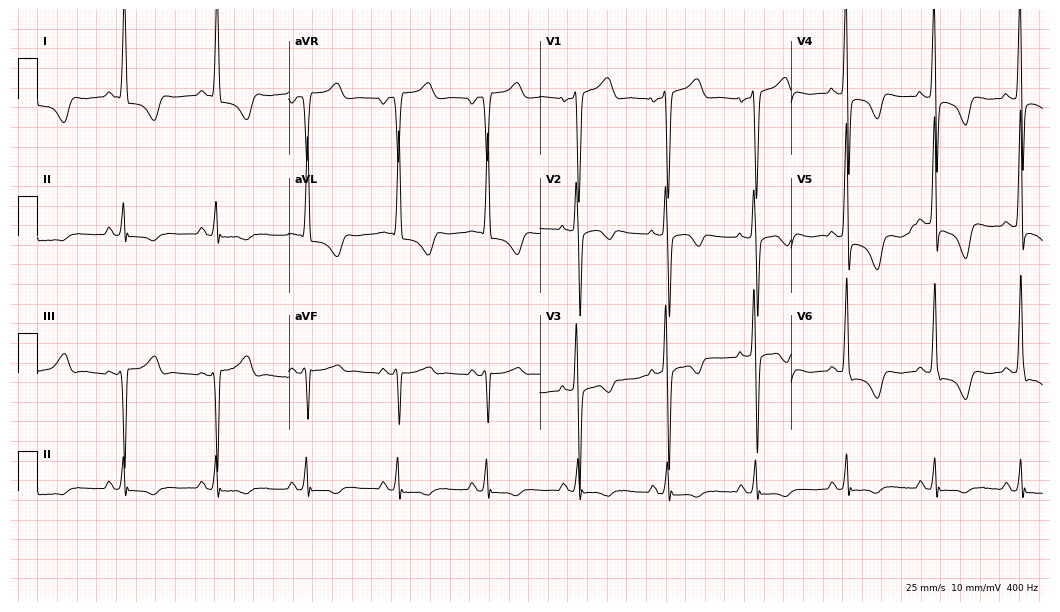
Resting 12-lead electrocardiogram (10.2-second recording at 400 Hz). Patient: a 43-year-old male. None of these six findings is recorded: first-degree AV block, right bundle branch block, left bundle branch block, sinus bradycardia, atrial fibrillation, sinus tachycardia.